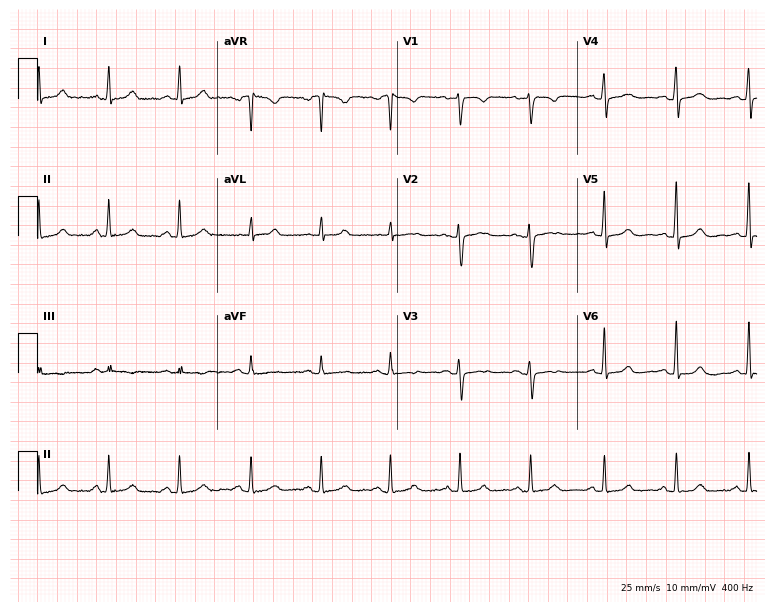
Resting 12-lead electrocardiogram. Patient: a woman, 46 years old. None of these six findings is recorded: first-degree AV block, right bundle branch block, left bundle branch block, sinus bradycardia, atrial fibrillation, sinus tachycardia. Findings outside these six are not listed.